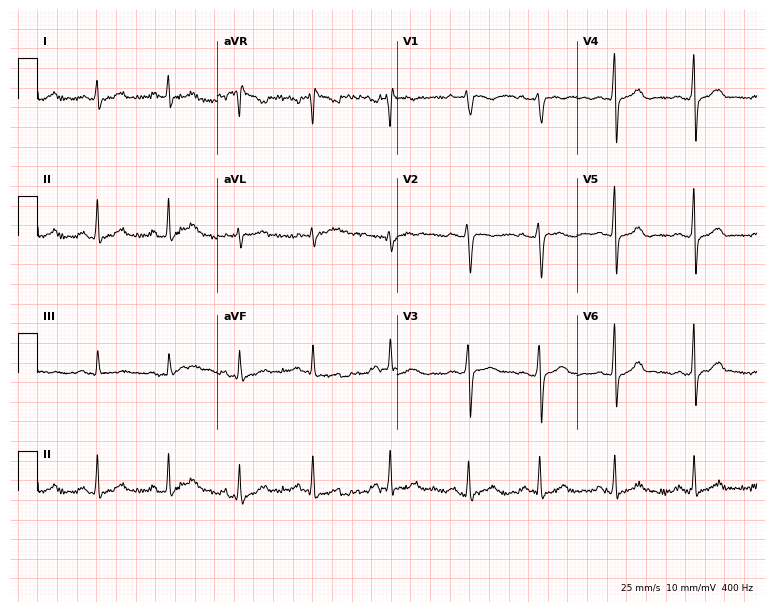
ECG (7.3-second recording at 400 Hz) — a 25-year-old woman. Labelled as a normal ECG.